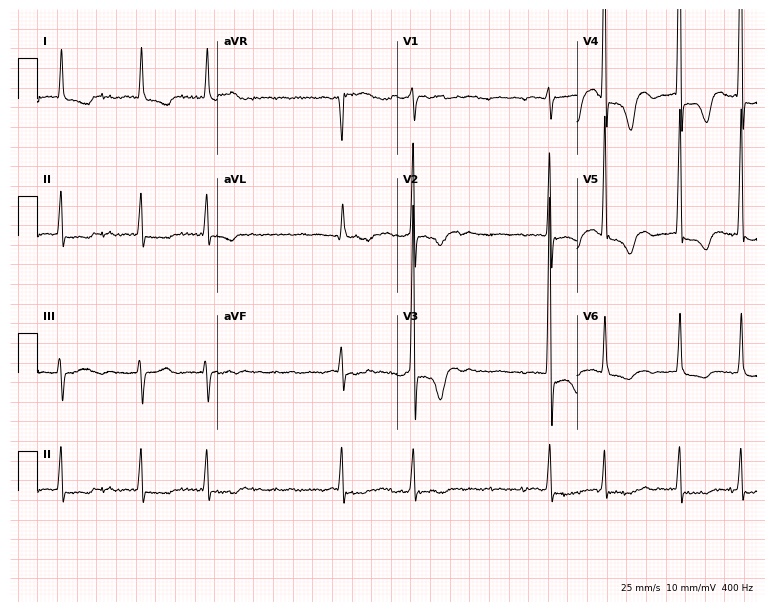
Standard 12-lead ECG recorded from a female patient, 85 years old (7.3-second recording at 400 Hz). The tracing shows atrial fibrillation.